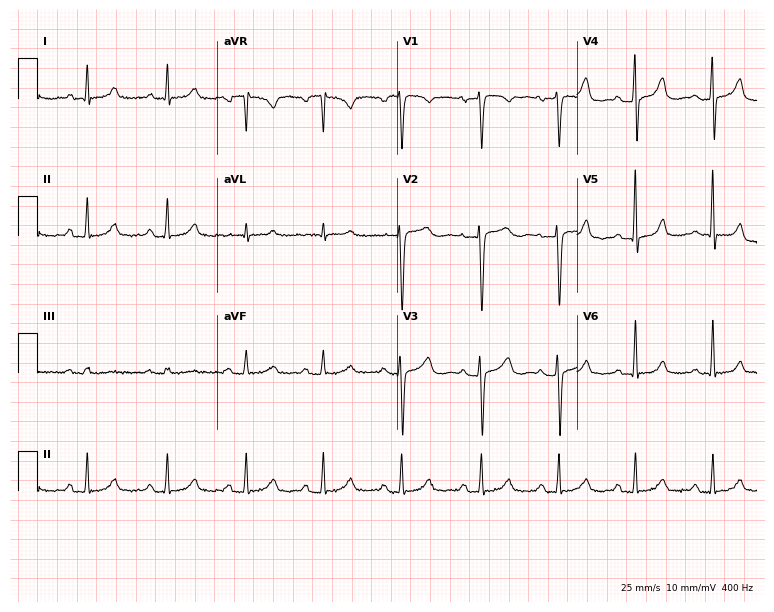
12-lead ECG from a woman, 45 years old (7.3-second recording at 400 Hz). Recorded interpretation: within normal limits.